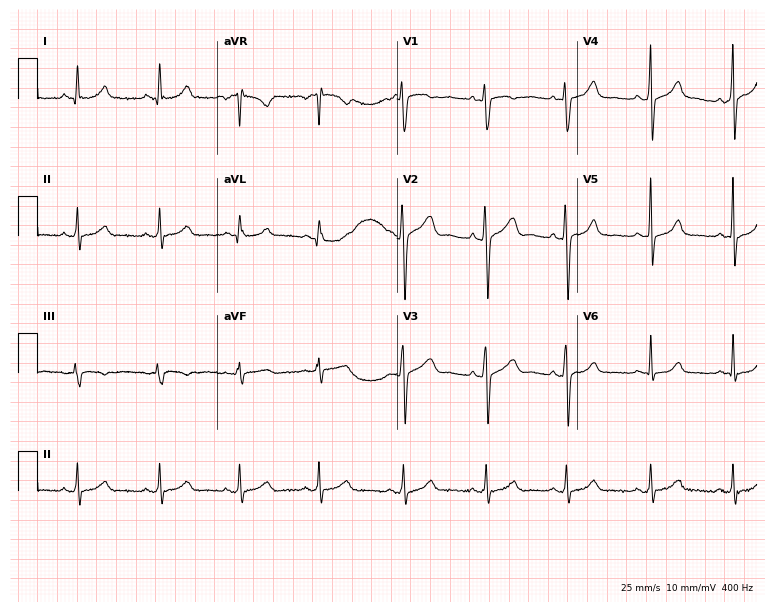
Resting 12-lead electrocardiogram. Patient: a 26-year-old female. None of these six findings is recorded: first-degree AV block, right bundle branch block, left bundle branch block, sinus bradycardia, atrial fibrillation, sinus tachycardia.